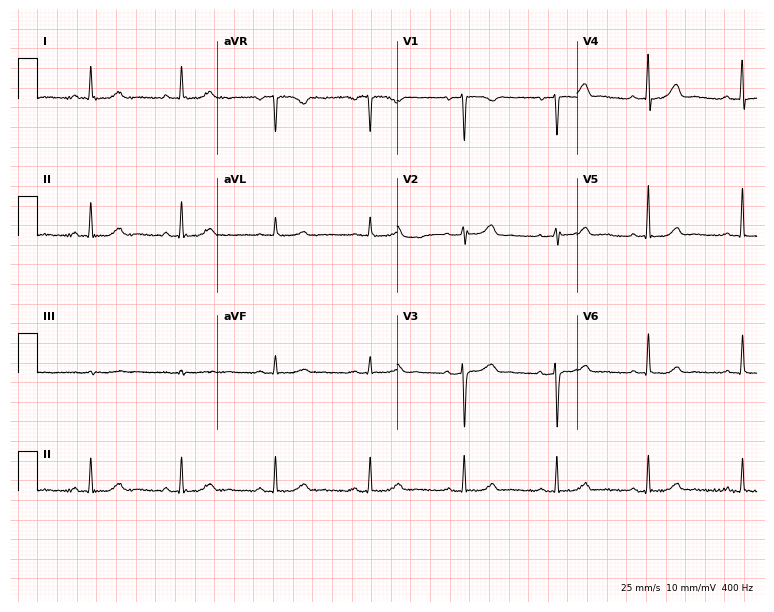
ECG — a woman, 50 years old. Labelled as a normal ECG.